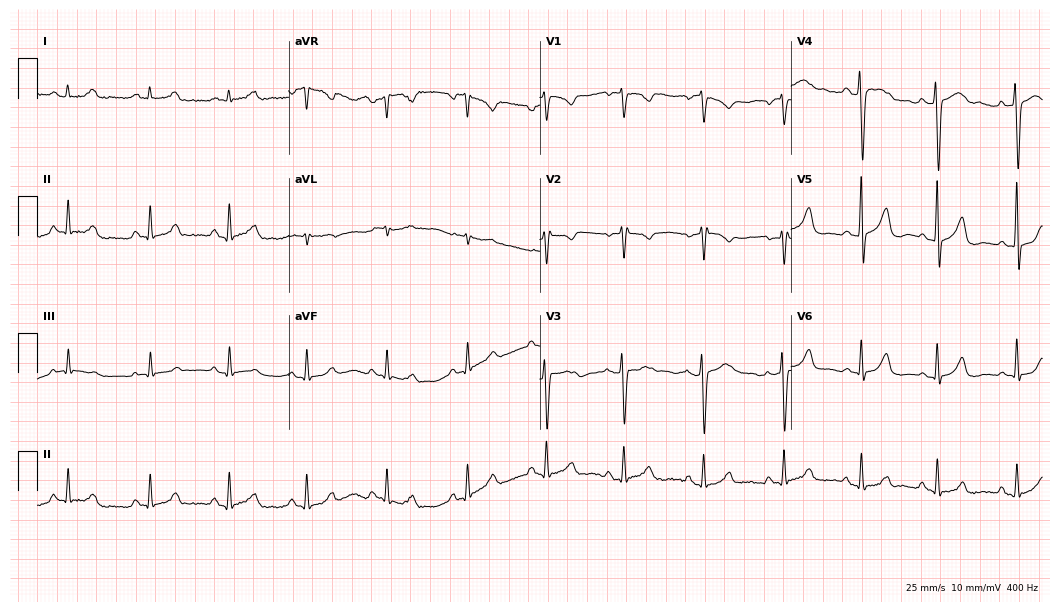
ECG — a female patient, 51 years old. Labelled as a normal ECG.